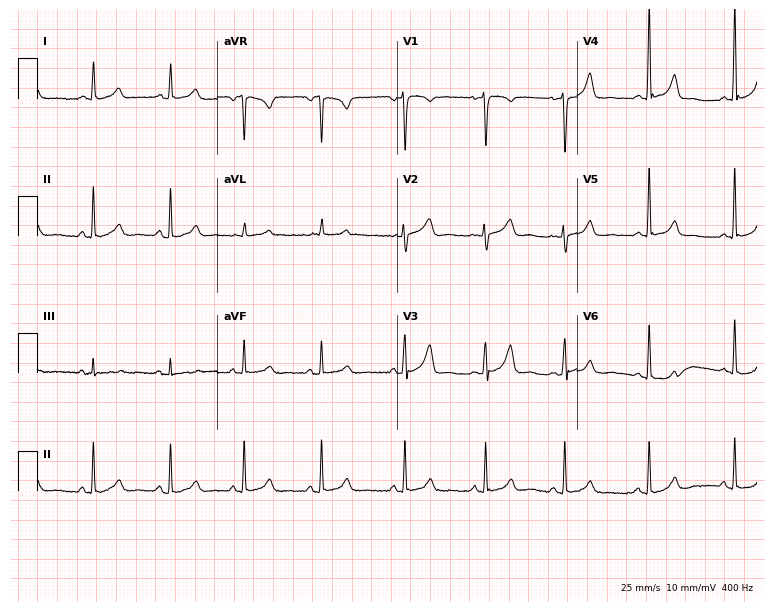
ECG — a 36-year-old woman. Labelled as a normal ECG.